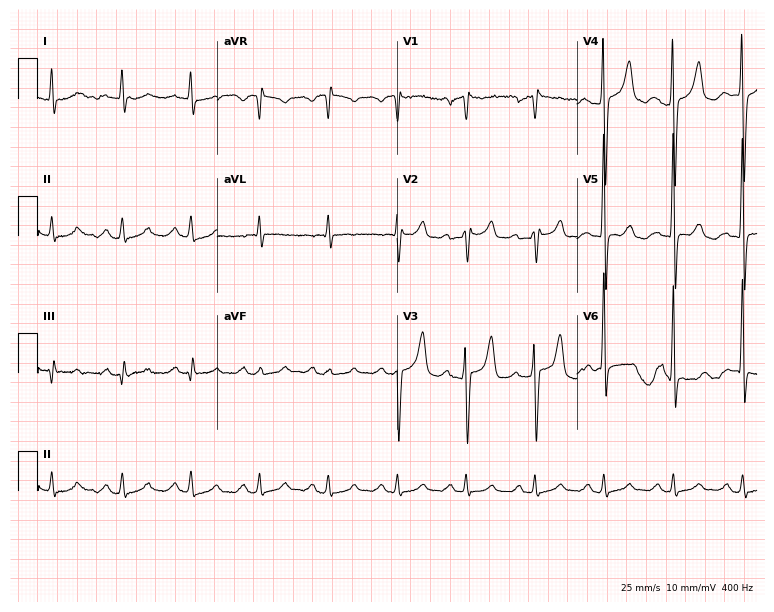
12-lead ECG (7.3-second recording at 400 Hz) from a man, 64 years old. Screened for six findings — first-degree AV block, right bundle branch block, left bundle branch block, sinus bradycardia, atrial fibrillation, sinus tachycardia — none is recorded.